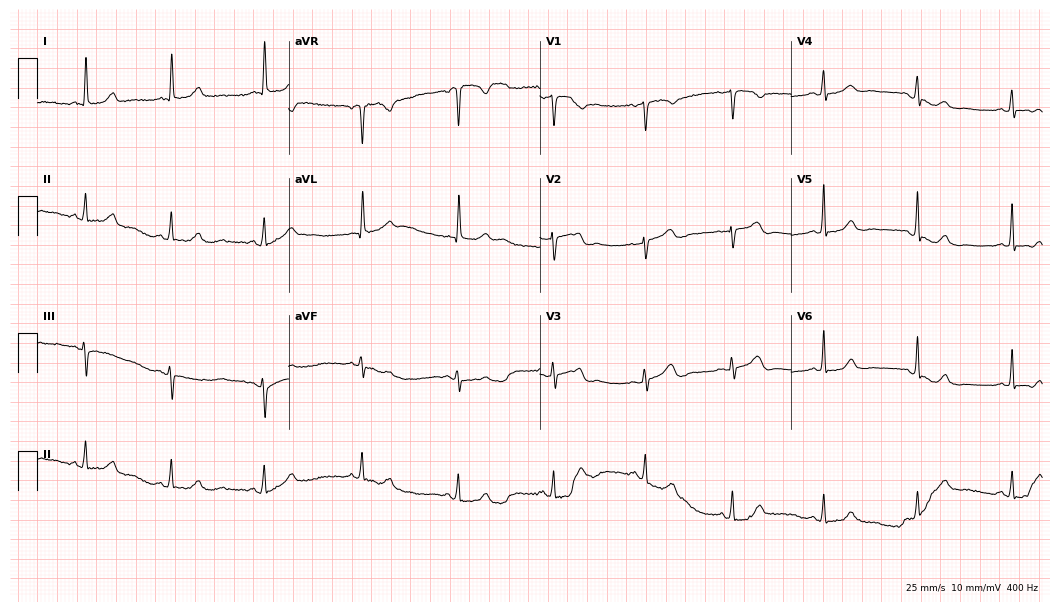
12-lead ECG (10.2-second recording at 400 Hz) from a 69-year-old female. Screened for six findings — first-degree AV block, right bundle branch block, left bundle branch block, sinus bradycardia, atrial fibrillation, sinus tachycardia — none is recorded. Findings outside these six are not listed.